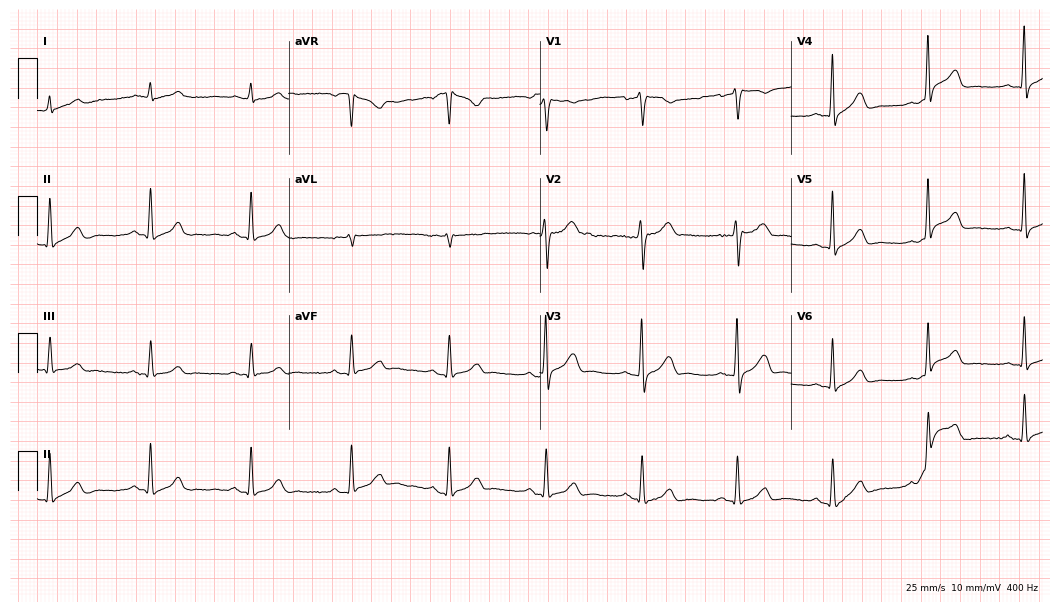
ECG (10.2-second recording at 400 Hz) — a 68-year-old man. Labelled as a normal ECG.